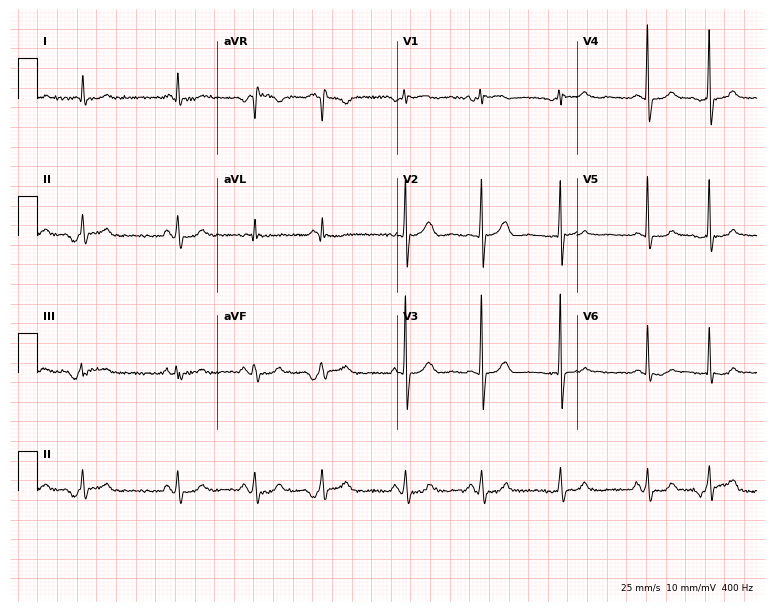
ECG — a male, 75 years old. Screened for six findings — first-degree AV block, right bundle branch block, left bundle branch block, sinus bradycardia, atrial fibrillation, sinus tachycardia — none is recorded. Other findings, if any, are not listed.